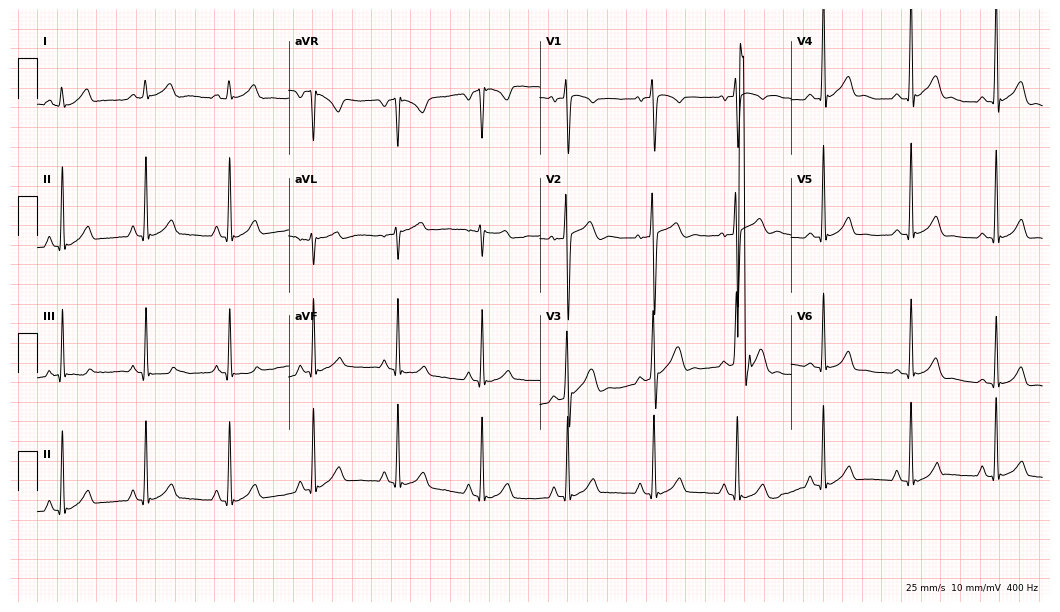
Standard 12-lead ECG recorded from a 17-year-old female patient. Read as a normal ECG.